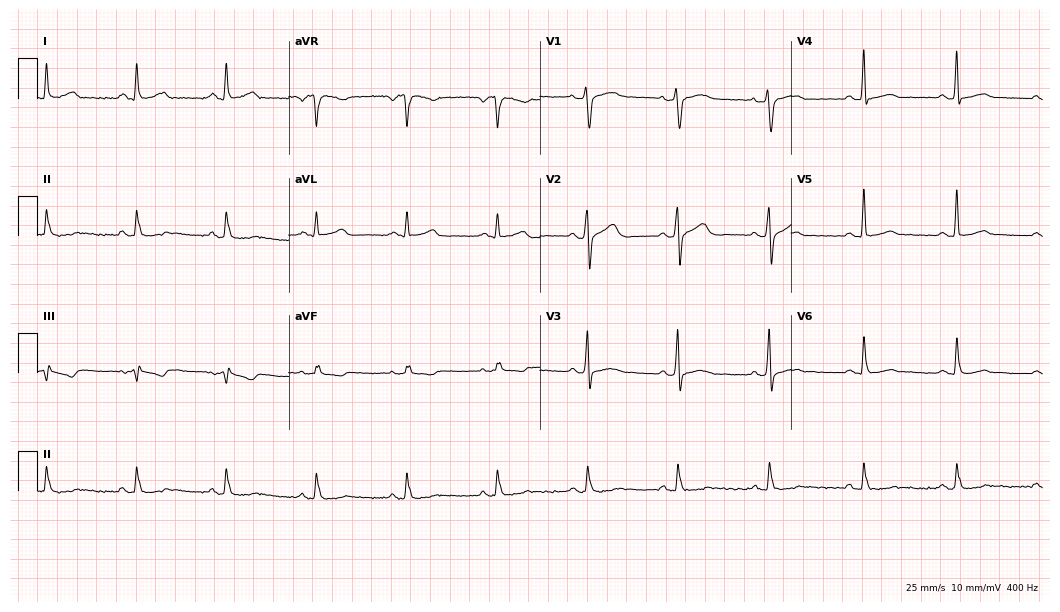
ECG — a 39-year-old male. Screened for six findings — first-degree AV block, right bundle branch block, left bundle branch block, sinus bradycardia, atrial fibrillation, sinus tachycardia — none is recorded. Findings outside these six are not listed.